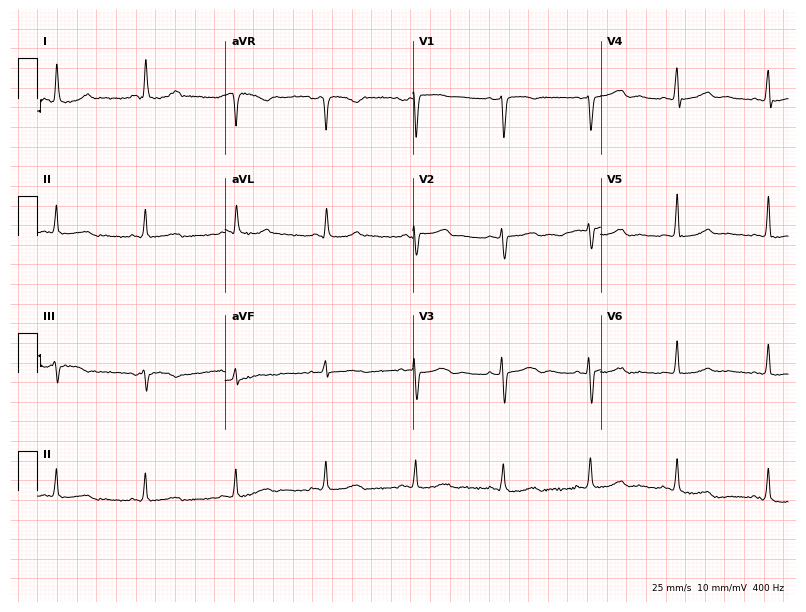
12-lead ECG (7.7-second recording at 400 Hz) from a female patient, 62 years old. Screened for six findings — first-degree AV block, right bundle branch block, left bundle branch block, sinus bradycardia, atrial fibrillation, sinus tachycardia — none is recorded. Only these six findings were labelled.